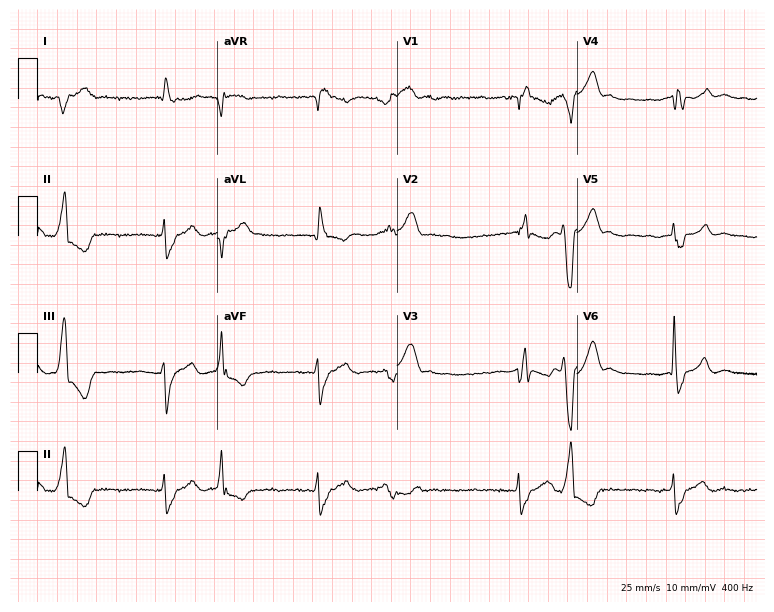
12-lead ECG from a 72-year-old female (7.3-second recording at 400 Hz). Shows right bundle branch block, atrial fibrillation.